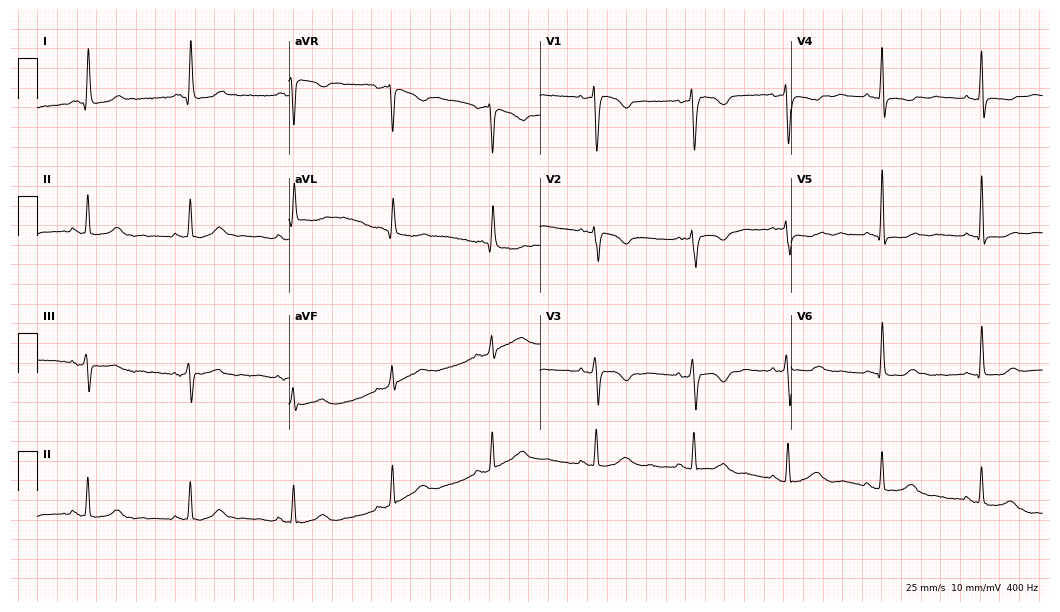
Resting 12-lead electrocardiogram. Patient: a woman, 53 years old. None of these six findings is recorded: first-degree AV block, right bundle branch block (RBBB), left bundle branch block (LBBB), sinus bradycardia, atrial fibrillation (AF), sinus tachycardia.